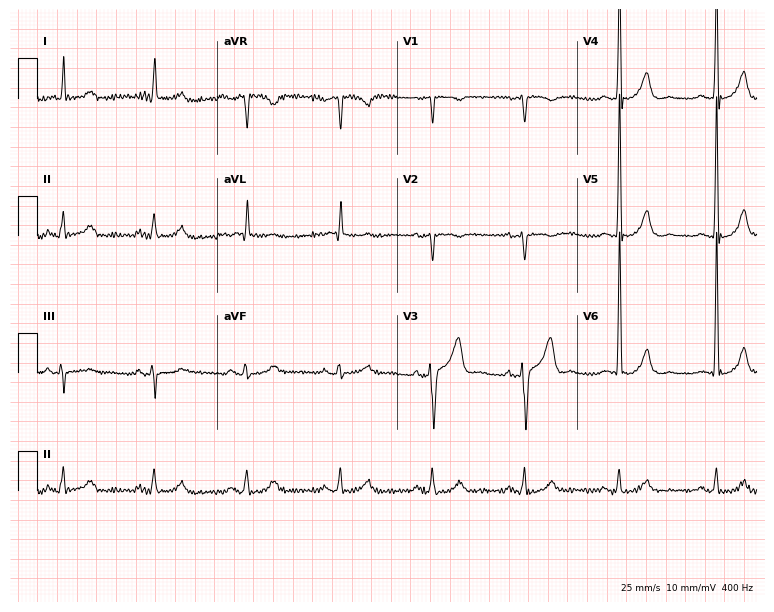
12-lead ECG from a 77-year-old man. Screened for six findings — first-degree AV block, right bundle branch block, left bundle branch block, sinus bradycardia, atrial fibrillation, sinus tachycardia — none is recorded.